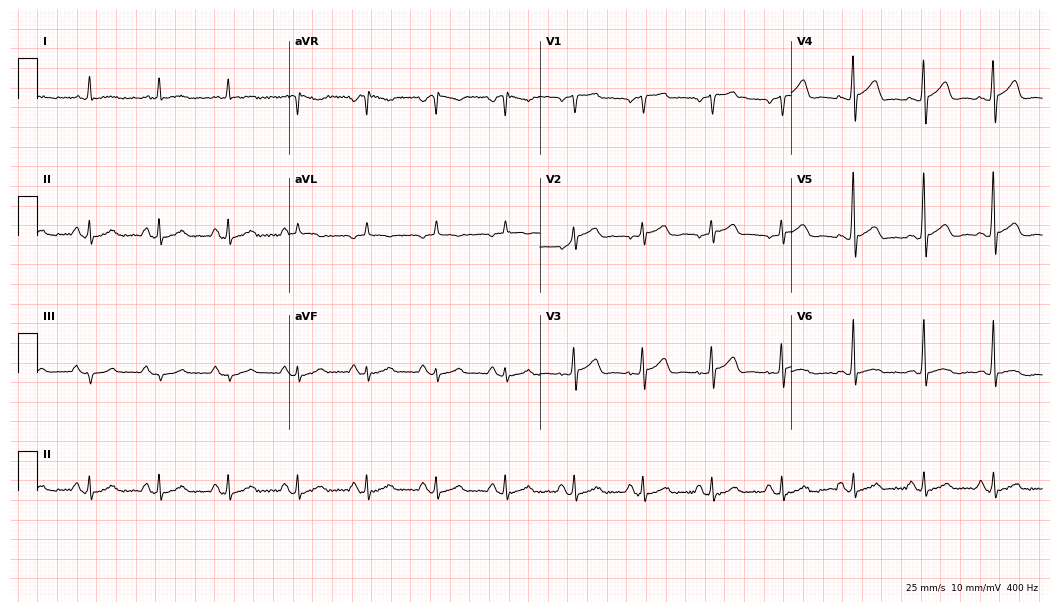
Resting 12-lead electrocardiogram (10.2-second recording at 400 Hz). Patient: a male, 75 years old. Read as a normal ECG.